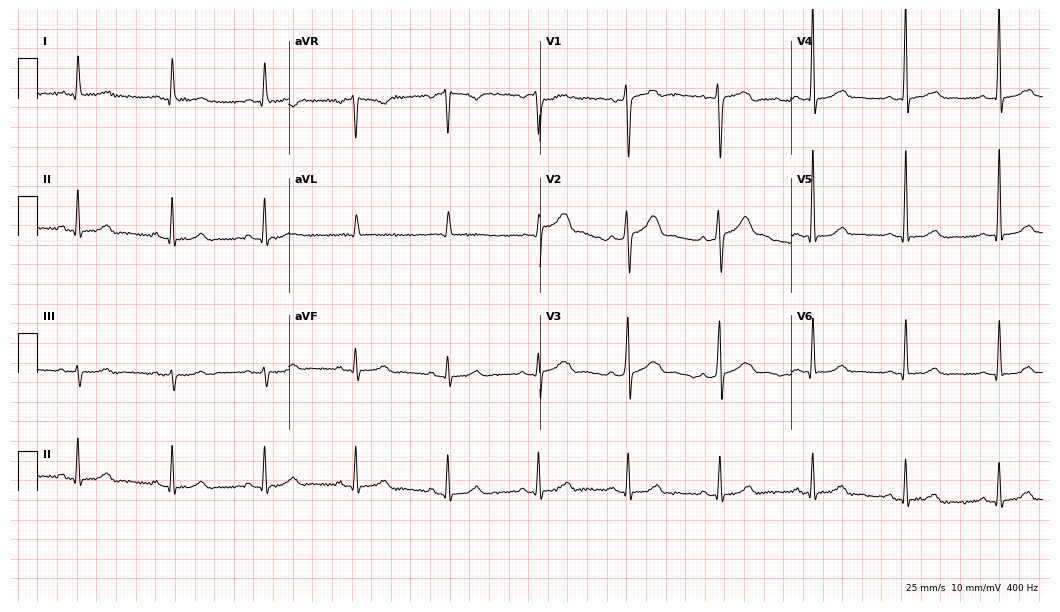
12-lead ECG from a 51-year-old male patient (10.2-second recording at 400 Hz). No first-degree AV block, right bundle branch block (RBBB), left bundle branch block (LBBB), sinus bradycardia, atrial fibrillation (AF) or sinus tachycardia recorded for this tracing. Other findings, if any, are not listed.